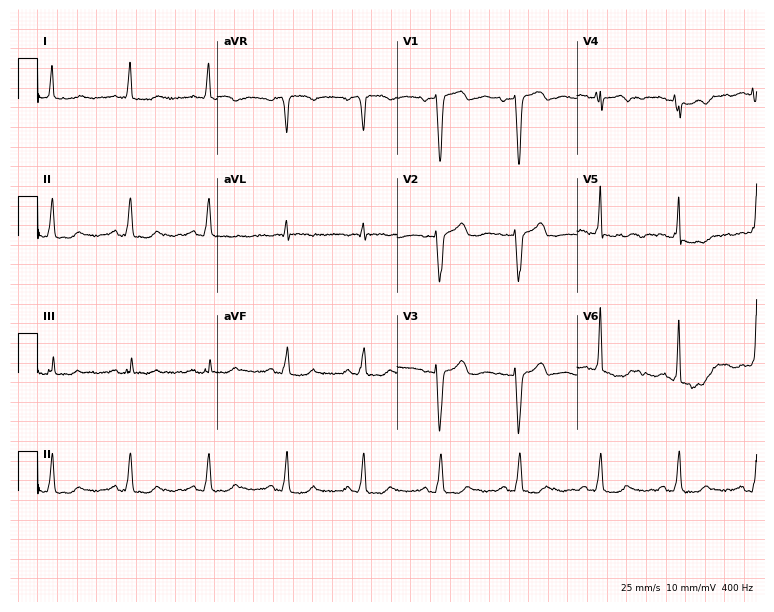
Resting 12-lead electrocardiogram. Patient: a 63-year-old female. None of these six findings is recorded: first-degree AV block, right bundle branch block, left bundle branch block, sinus bradycardia, atrial fibrillation, sinus tachycardia. Only these six findings were labelled.